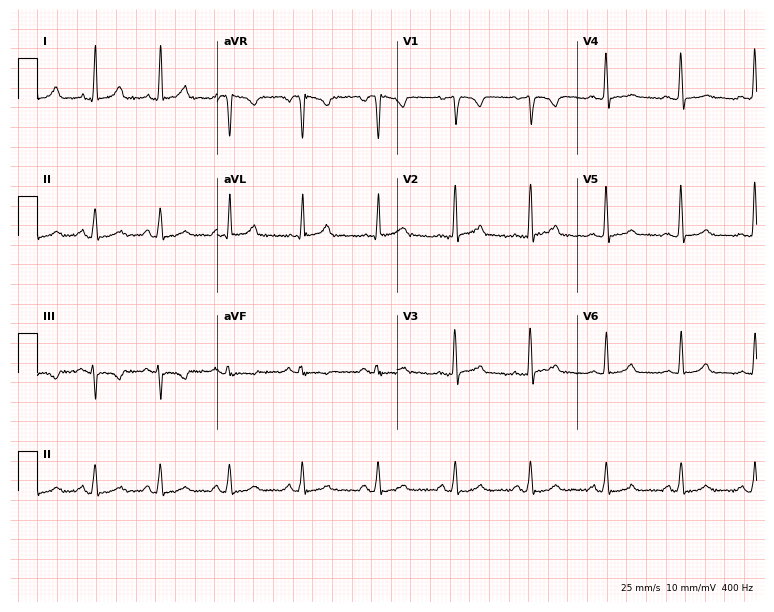
ECG (7.3-second recording at 400 Hz) — a 45-year-old female. Labelled as a normal ECG.